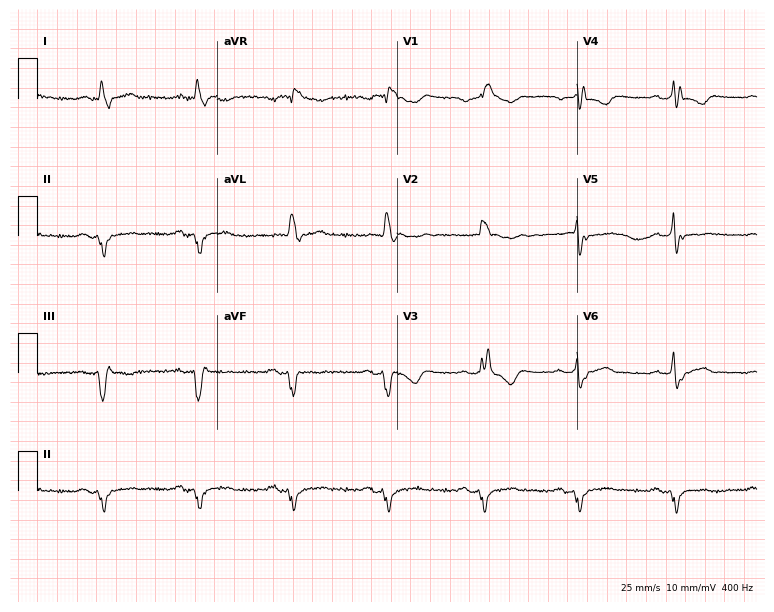
Electrocardiogram (7.3-second recording at 400 Hz), a male, 73 years old. Interpretation includes right bundle branch block (RBBB).